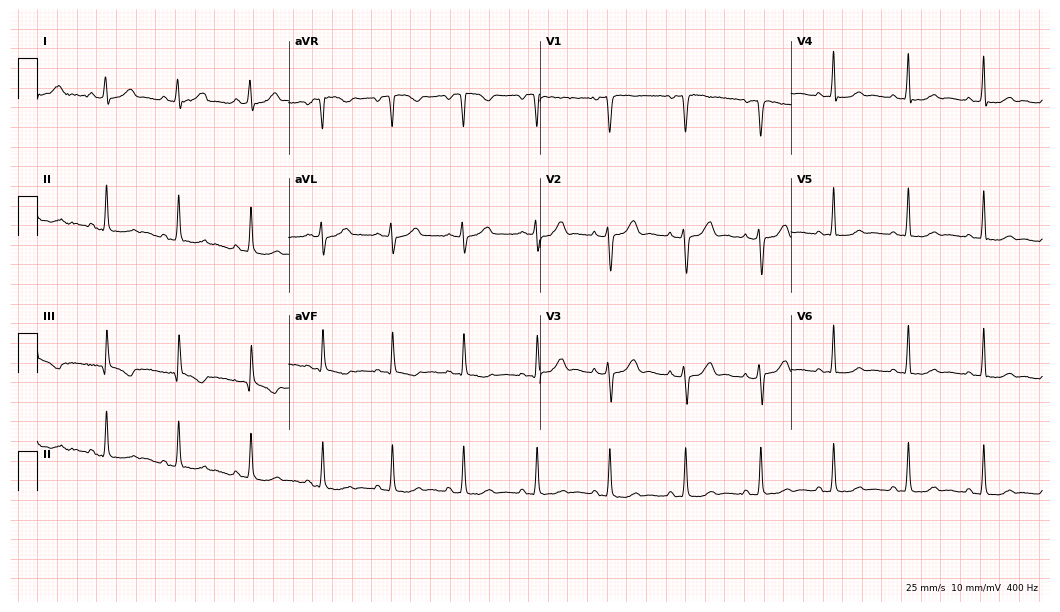
Electrocardiogram, a 38-year-old woman. Overall reading on record: normal ECG.